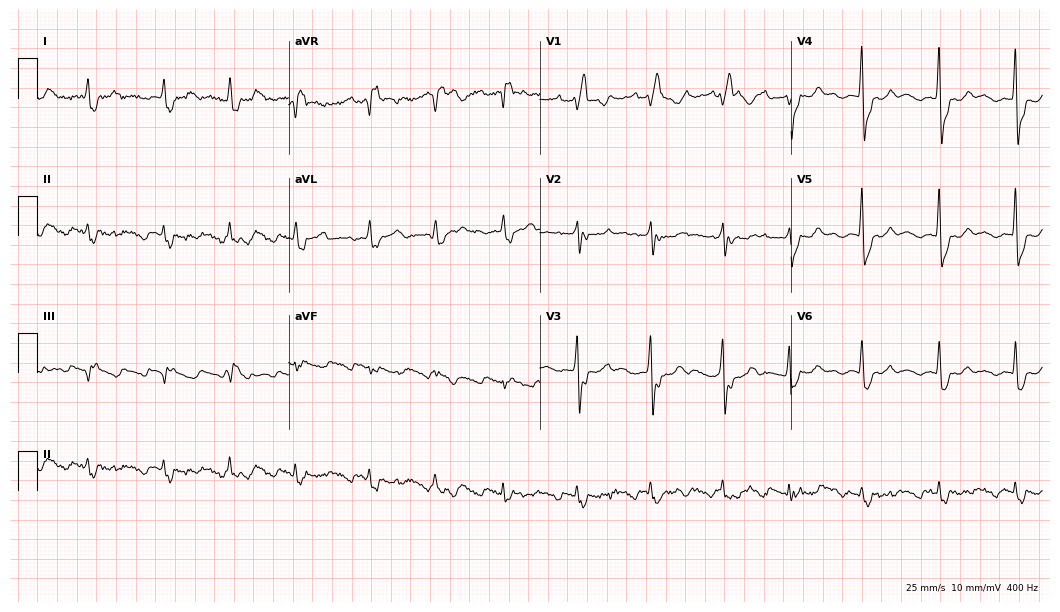
12-lead ECG from an 80-year-old male patient. Findings include right bundle branch block (RBBB).